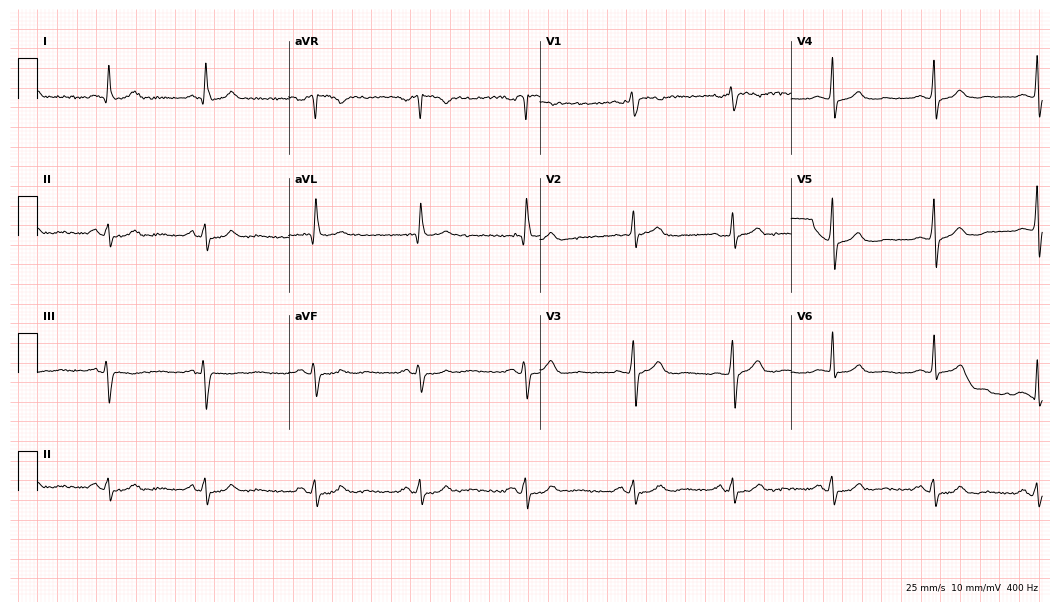
ECG — a 51-year-old male. Screened for six findings — first-degree AV block, right bundle branch block, left bundle branch block, sinus bradycardia, atrial fibrillation, sinus tachycardia — none is recorded.